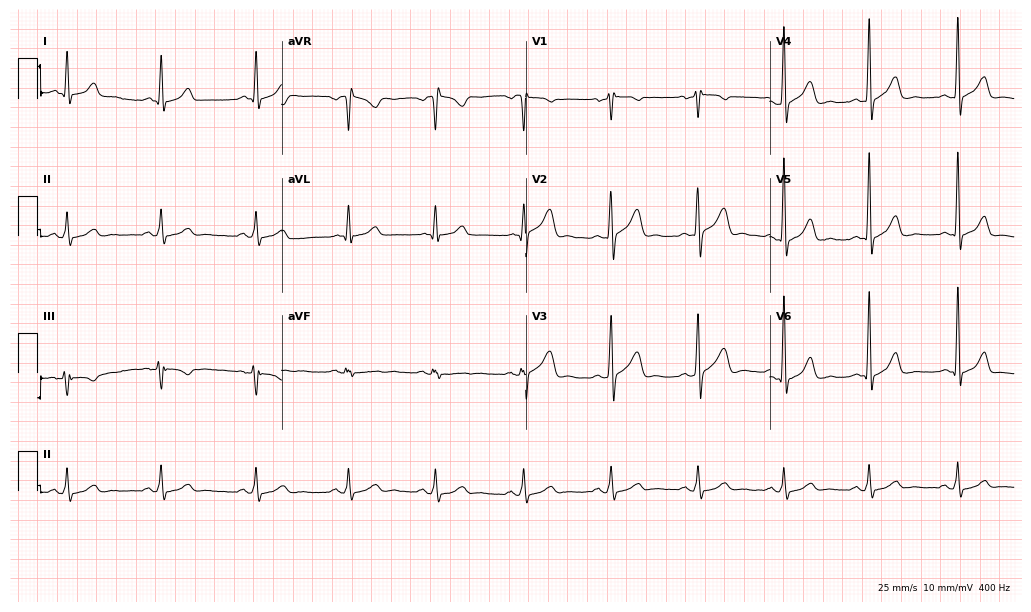
Standard 12-lead ECG recorded from a male, 50 years old. Read as a normal ECG.